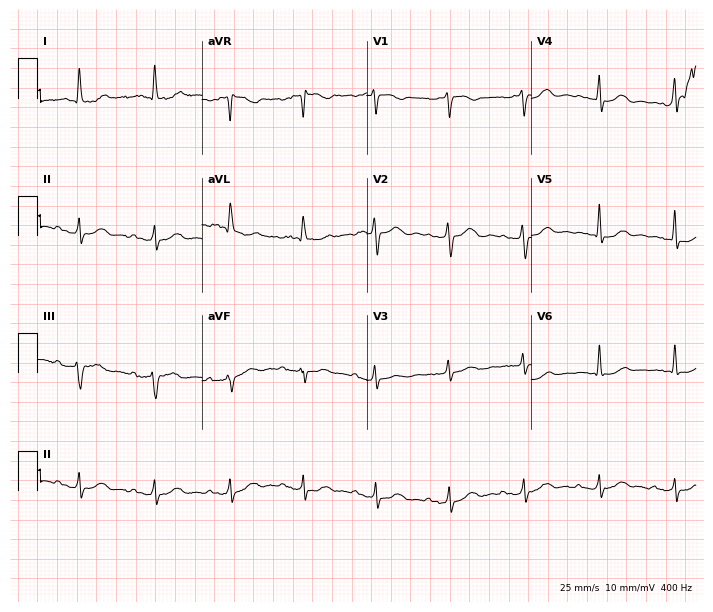
12-lead ECG from a female, 85 years old. Screened for six findings — first-degree AV block, right bundle branch block, left bundle branch block, sinus bradycardia, atrial fibrillation, sinus tachycardia — none is recorded. Findings outside these six are not listed.